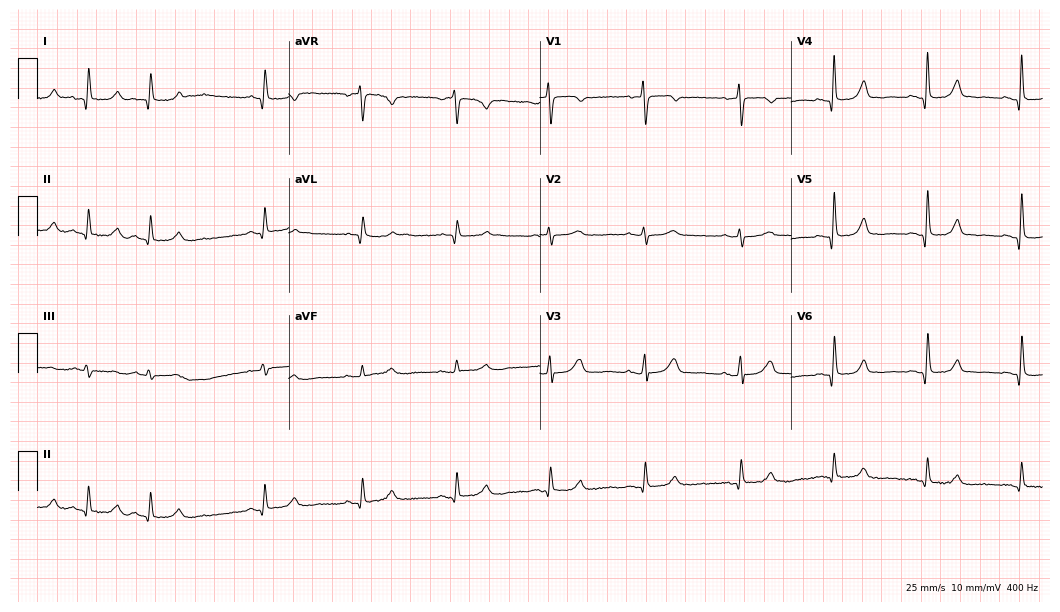
ECG (10.2-second recording at 400 Hz) — a 69-year-old male. Labelled as a normal ECG.